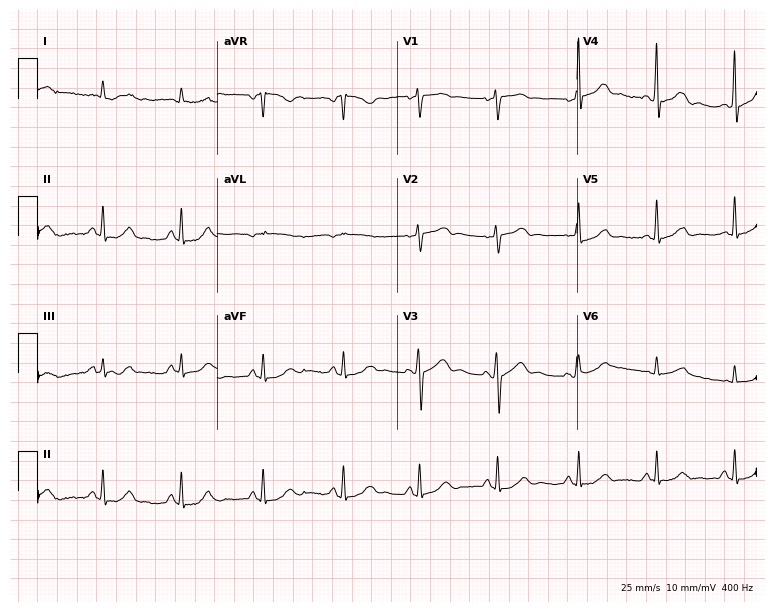
12-lead ECG (7.3-second recording at 400 Hz) from a 56-year-old man. Screened for six findings — first-degree AV block, right bundle branch block, left bundle branch block, sinus bradycardia, atrial fibrillation, sinus tachycardia — none is recorded.